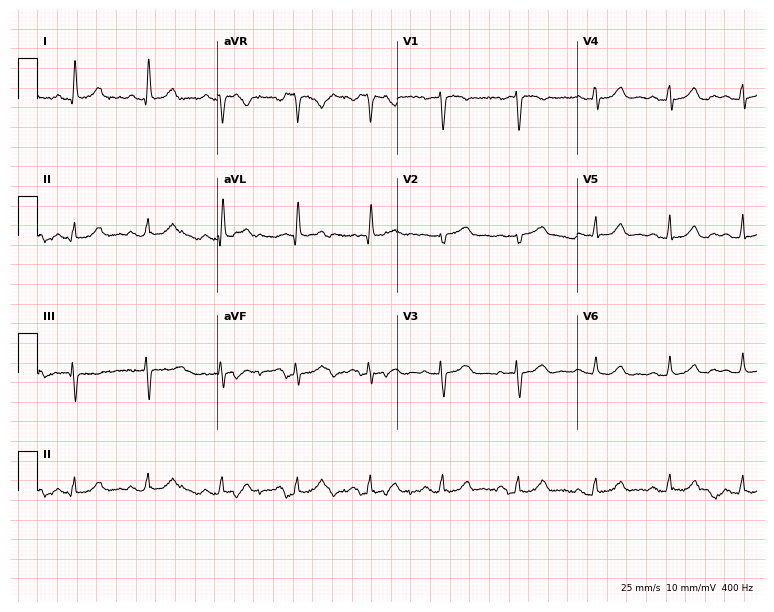
12-lead ECG from a woman, 53 years old. Labelled as a normal ECG.